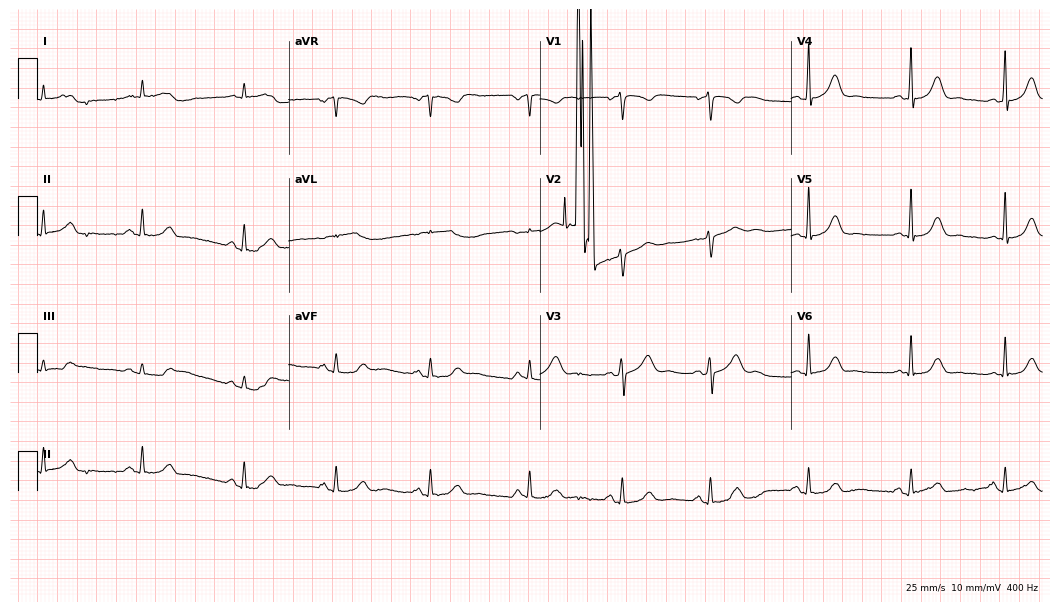
Standard 12-lead ECG recorded from a 43-year-old female (10.2-second recording at 400 Hz). Read as a normal ECG.